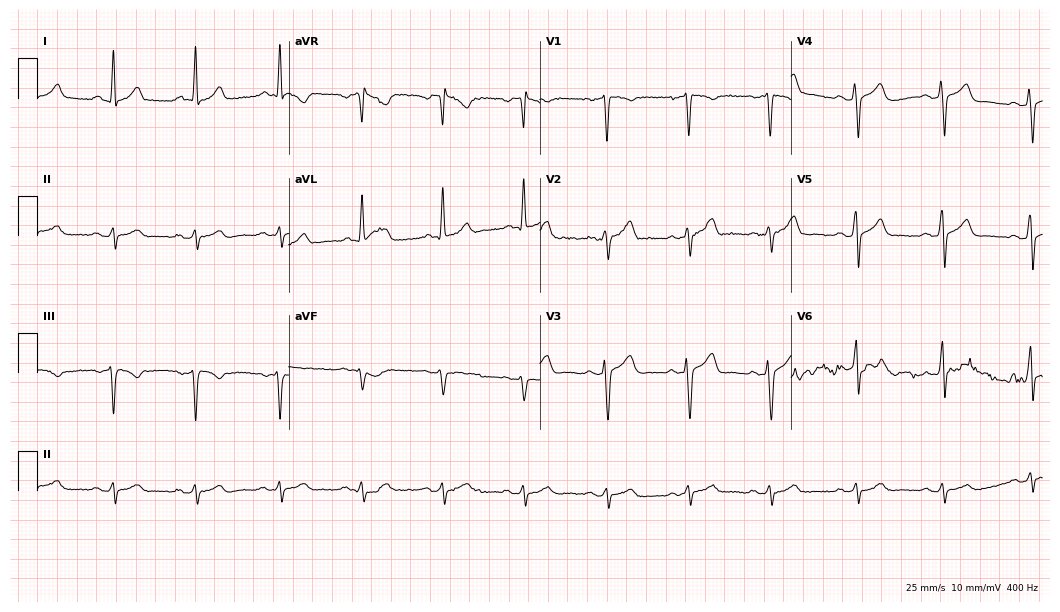
12-lead ECG from a male, 48 years old (10.2-second recording at 400 Hz). No first-degree AV block, right bundle branch block, left bundle branch block, sinus bradycardia, atrial fibrillation or sinus tachycardia recorded for this tracing. Only these six findings were labelled.